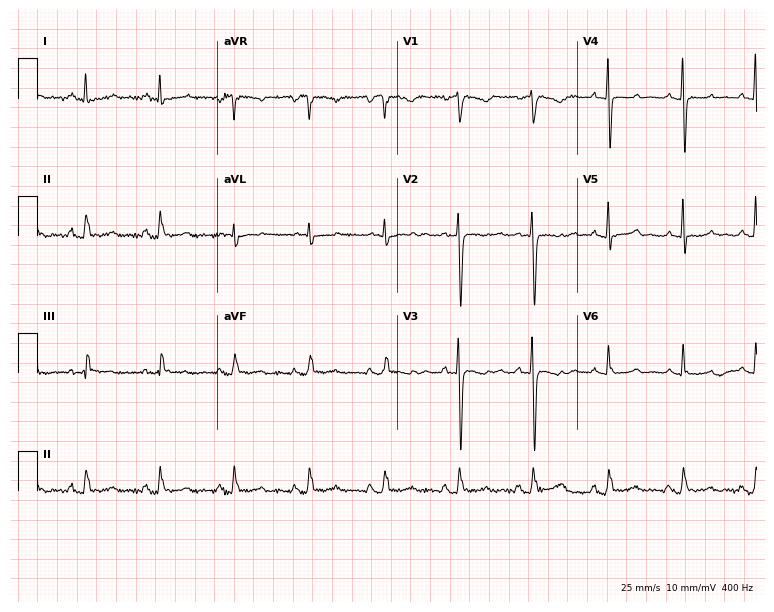
12-lead ECG from a 58-year-old female patient (7.3-second recording at 400 Hz). No first-degree AV block, right bundle branch block (RBBB), left bundle branch block (LBBB), sinus bradycardia, atrial fibrillation (AF) or sinus tachycardia recorded for this tracing.